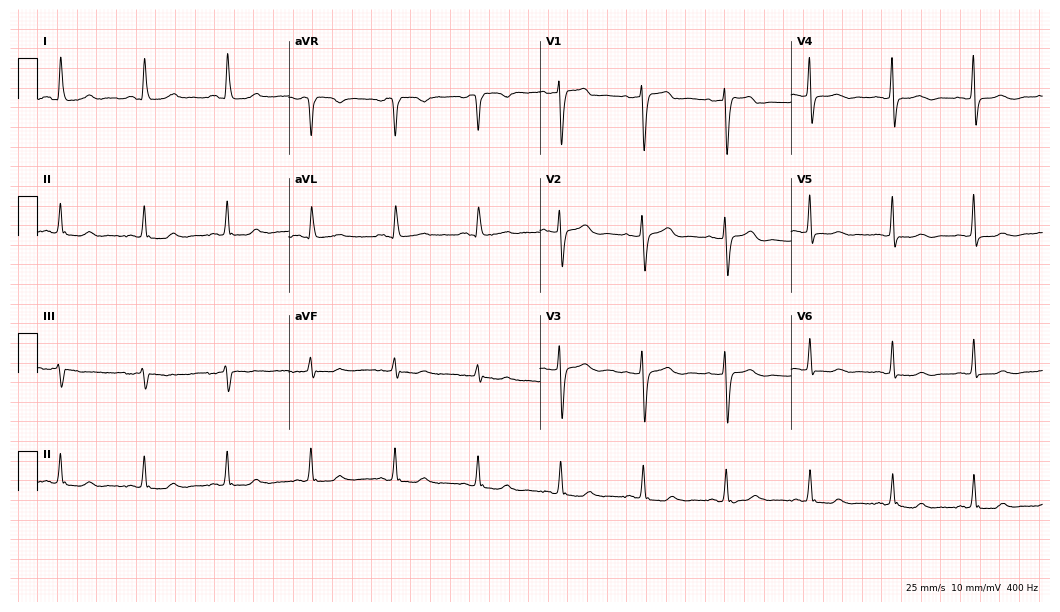
12-lead ECG from a 65-year-old female patient. Screened for six findings — first-degree AV block, right bundle branch block (RBBB), left bundle branch block (LBBB), sinus bradycardia, atrial fibrillation (AF), sinus tachycardia — none is recorded.